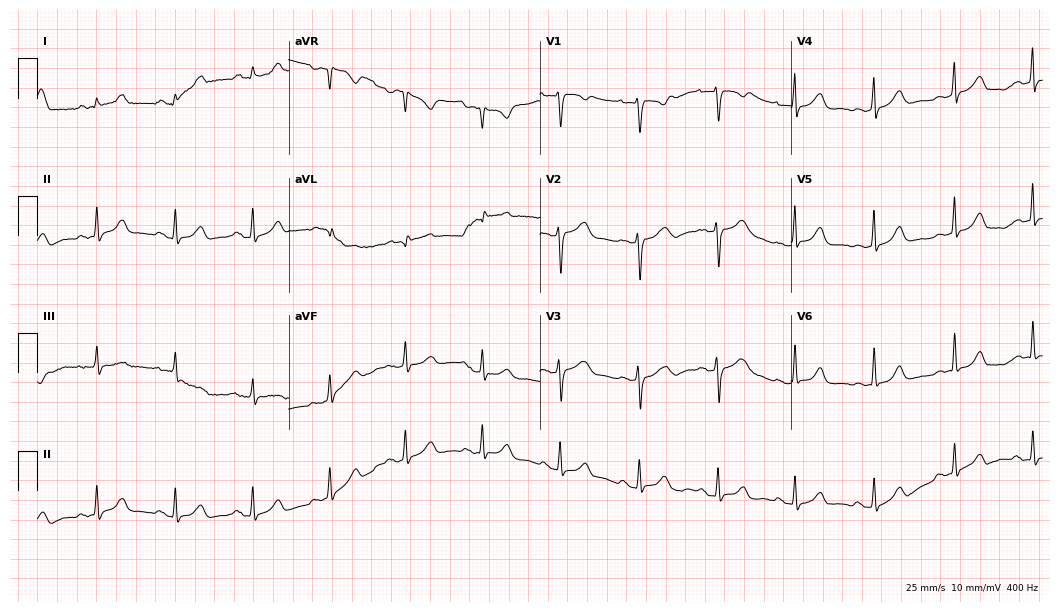
Standard 12-lead ECG recorded from a 27-year-old female patient. None of these six findings is recorded: first-degree AV block, right bundle branch block, left bundle branch block, sinus bradycardia, atrial fibrillation, sinus tachycardia.